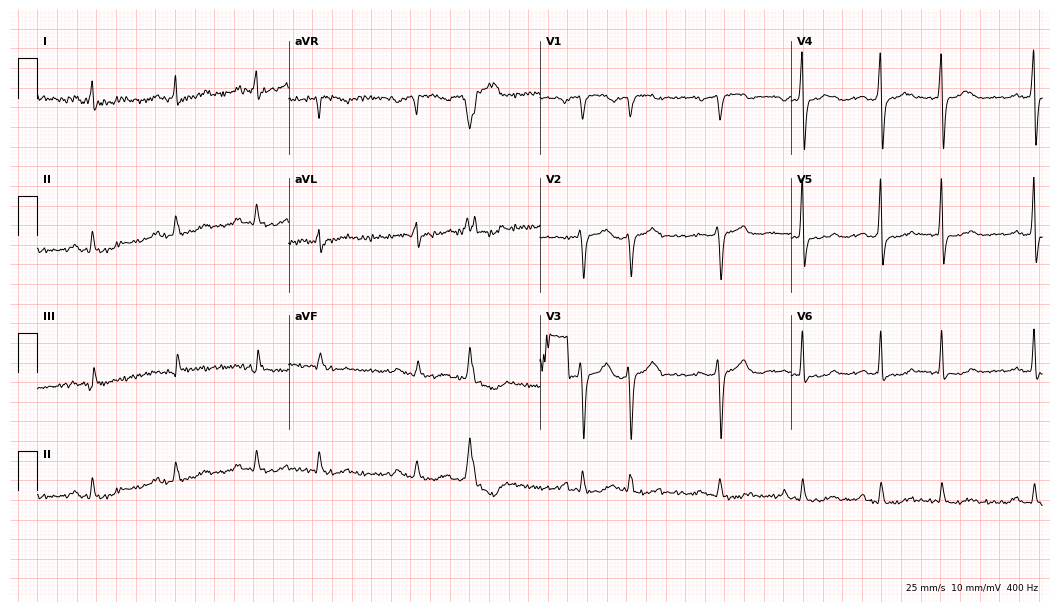
Electrocardiogram, a man, 75 years old. Of the six screened findings (first-degree AV block, right bundle branch block (RBBB), left bundle branch block (LBBB), sinus bradycardia, atrial fibrillation (AF), sinus tachycardia), none is recorded.